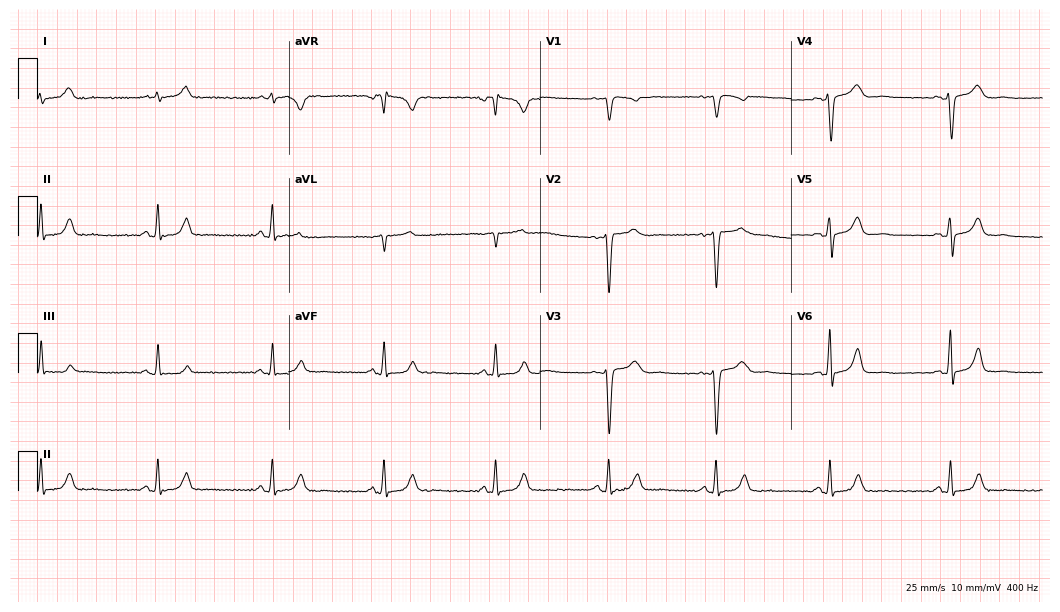
Standard 12-lead ECG recorded from a female, 42 years old (10.2-second recording at 400 Hz). None of these six findings is recorded: first-degree AV block, right bundle branch block (RBBB), left bundle branch block (LBBB), sinus bradycardia, atrial fibrillation (AF), sinus tachycardia.